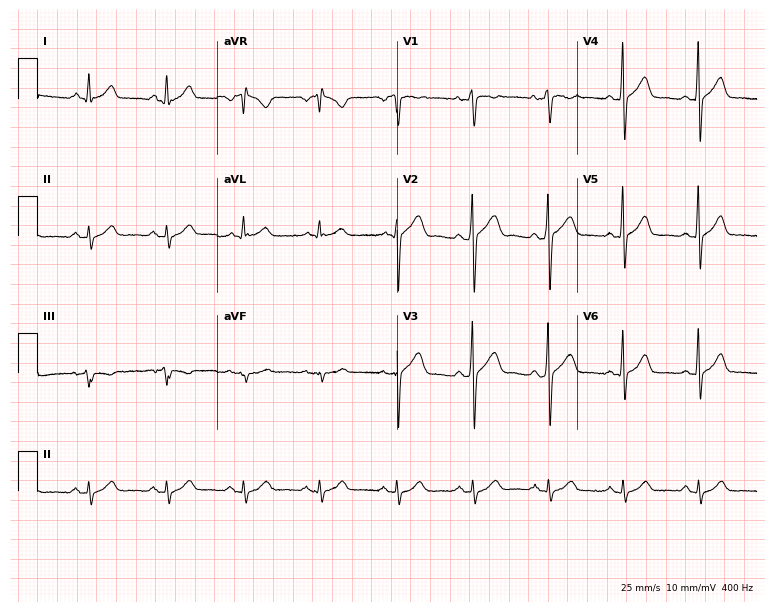
12-lead ECG from a male, 41 years old (7.3-second recording at 400 Hz). Recorded interpretation: within normal limits.